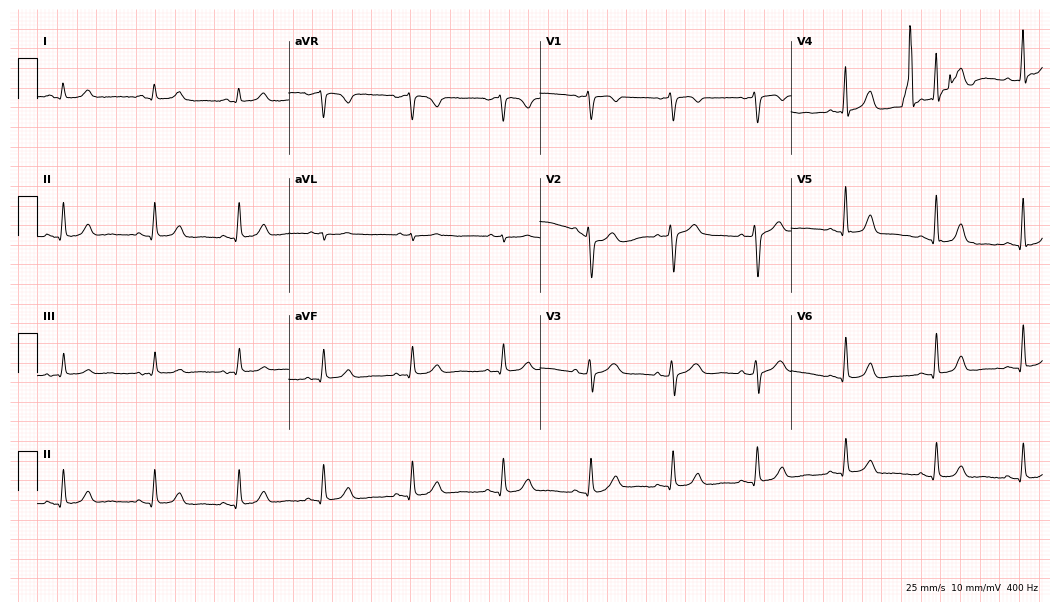
Electrocardiogram (10.2-second recording at 400 Hz), a 51-year-old female. Overall reading on record: normal ECG.